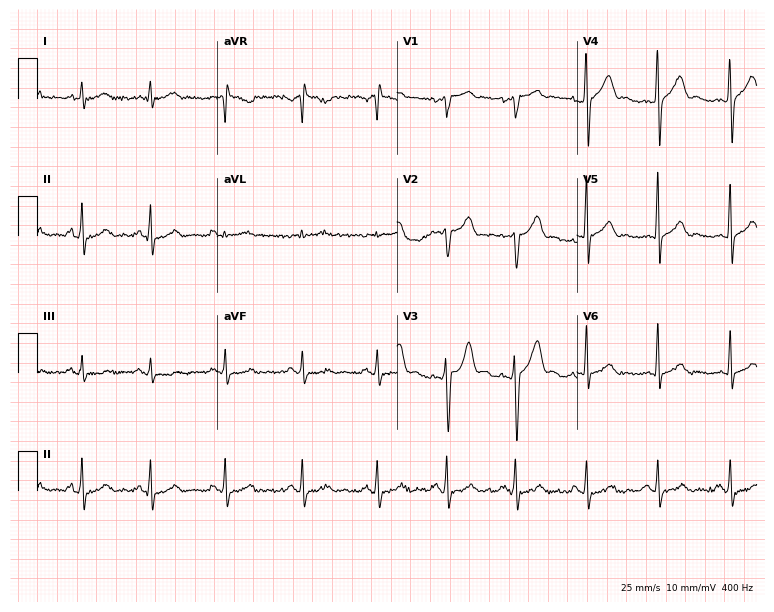
Standard 12-lead ECG recorded from a male patient, 36 years old (7.3-second recording at 400 Hz). None of these six findings is recorded: first-degree AV block, right bundle branch block, left bundle branch block, sinus bradycardia, atrial fibrillation, sinus tachycardia.